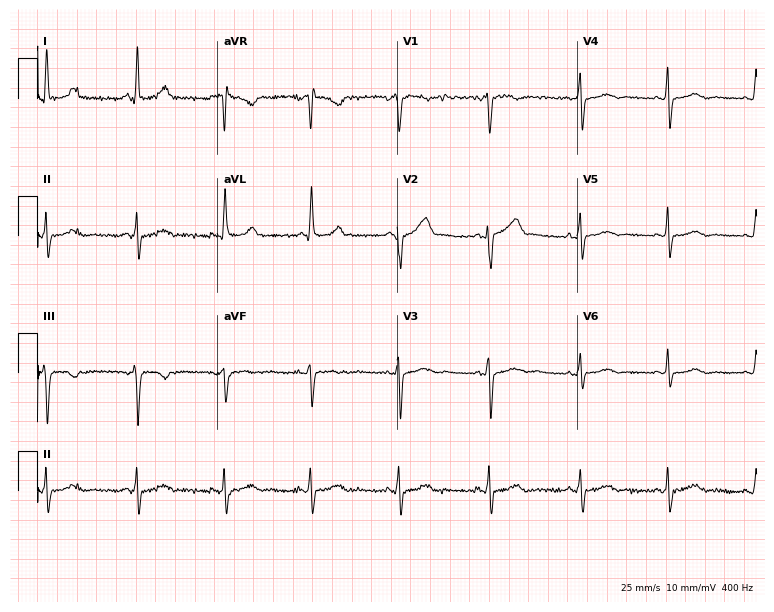
12-lead ECG from a 53-year-old female. Labelled as a normal ECG.